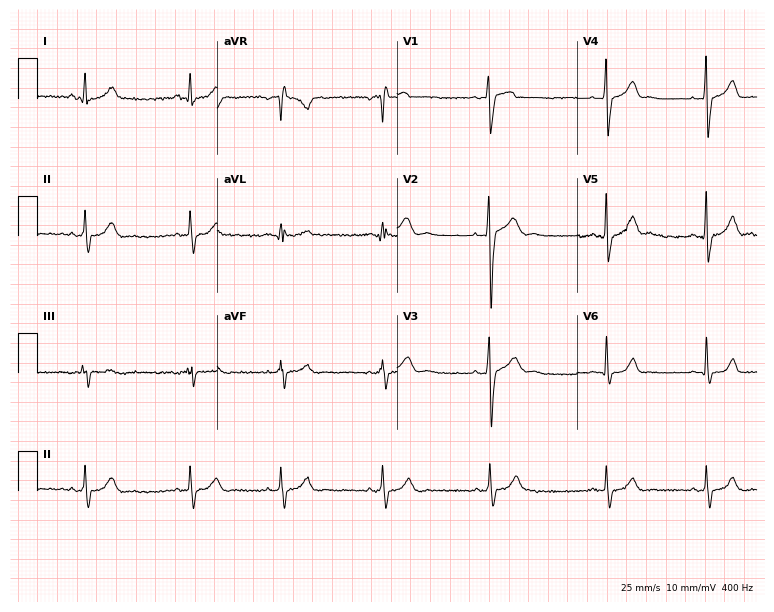
Electrocardiogram (7.3-second recording at 400 Hz), a 20-year-old man. Overall reading on record: normal ECG.